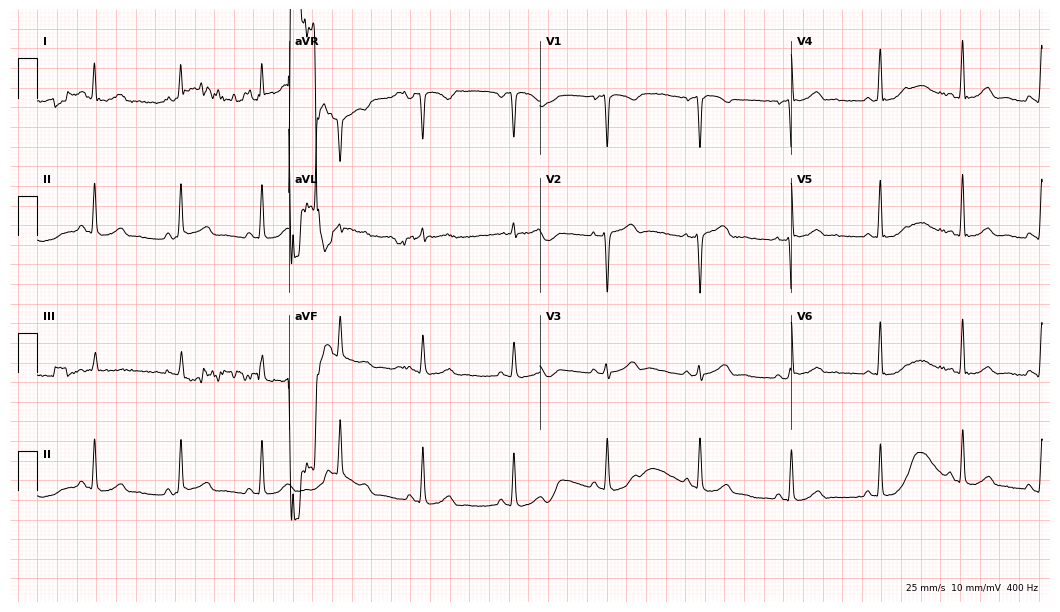
12-lead ECG (10.2-second recording at 400 Hz) from a female patient, 50 years old. Labelled as a normal ECG.